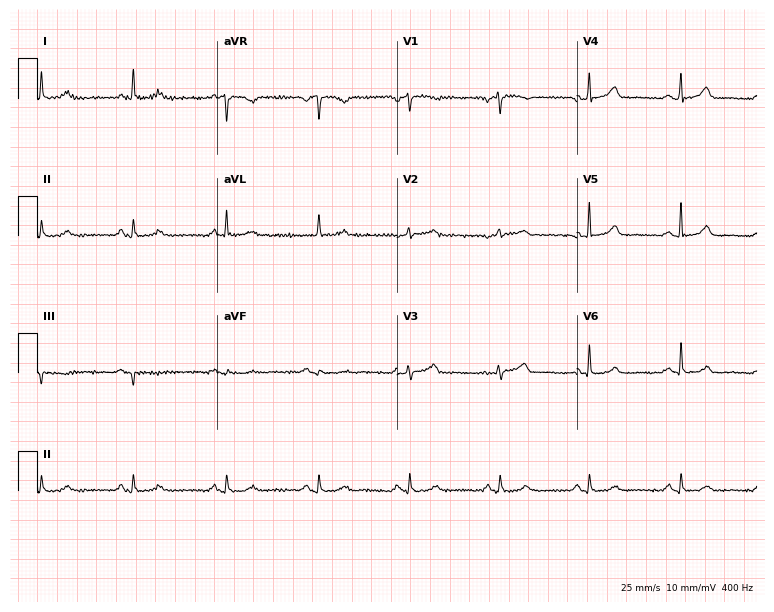
Standard 12-lead ECG recorded from a 55-year-old female patient. Read as a normal ECG.